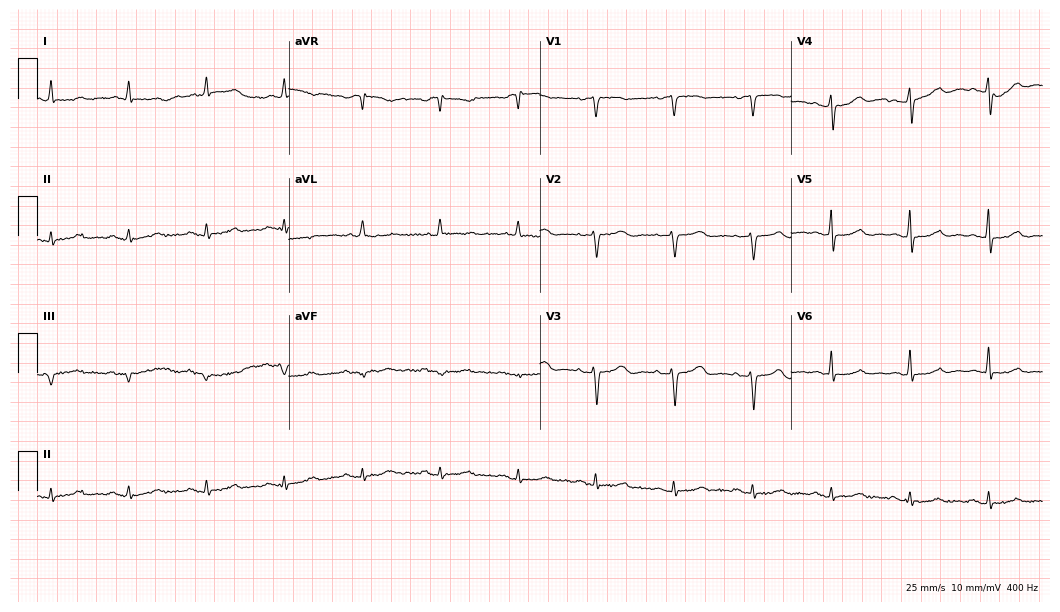
12-lead ECG from a female, 82 years old (10.2-second recording at 400 Hz). No first-degree AV block, right bundle branch block, left bundle branch block, sinus bradycardia, atrial fibrillation or sinus tachycardia recorded for this tracing. Other findings, if any, are not listed.